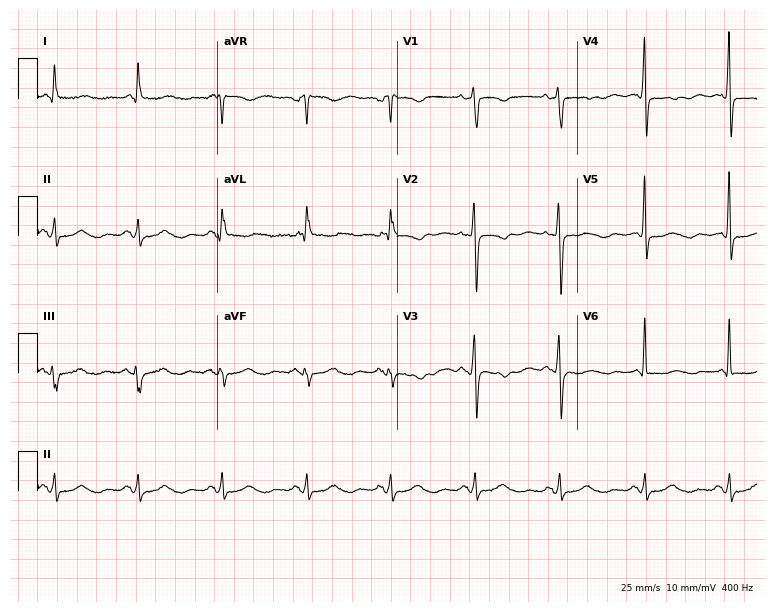
12-lead ECG (7.3-second recording at 400 Hz) from a female, 69 years old. Screened for six findings — first-degree AV block, right bundle branch block, left bundle branch block, sinus bradycardia, atrial fibrillation, sinus tachycardia — none is recorded.